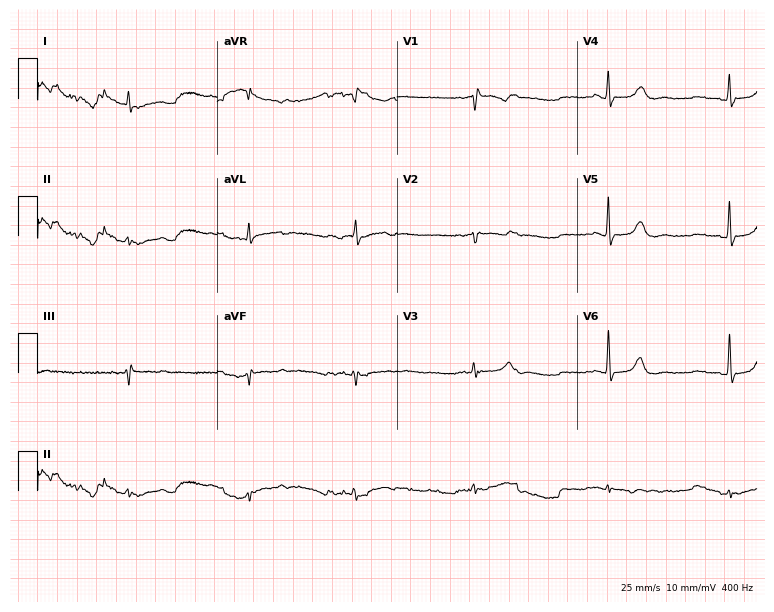
12-lead ECG (7.3-second recording at 400 Hz) from an 85-year-old woman. Findings include sinus bradycardia (a sinus rate of 50 beats per minute or less).